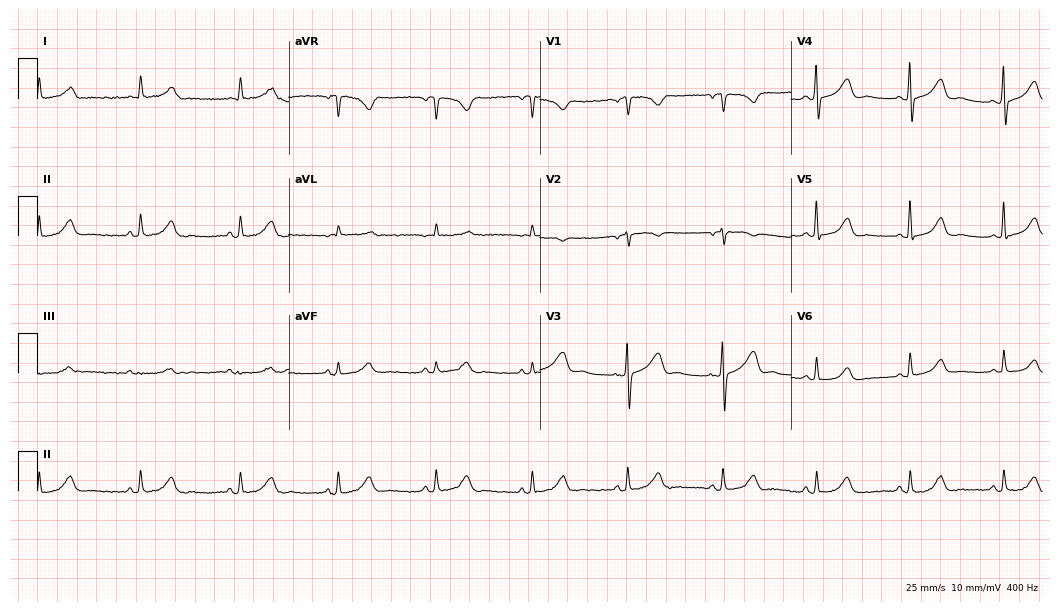
ECG (10.2-second recording at 400 Hz) — a 66-year-old female patient. Labelled as a normal ECG.